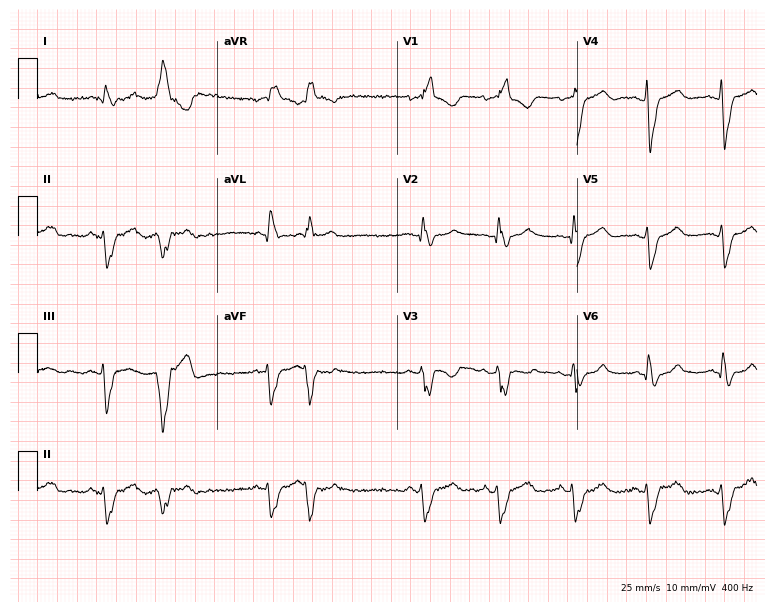
Electrocardiogram (7.3-second recording at 400 Hz), a male, 52 years old. Interpretation includes right bundle branch block.